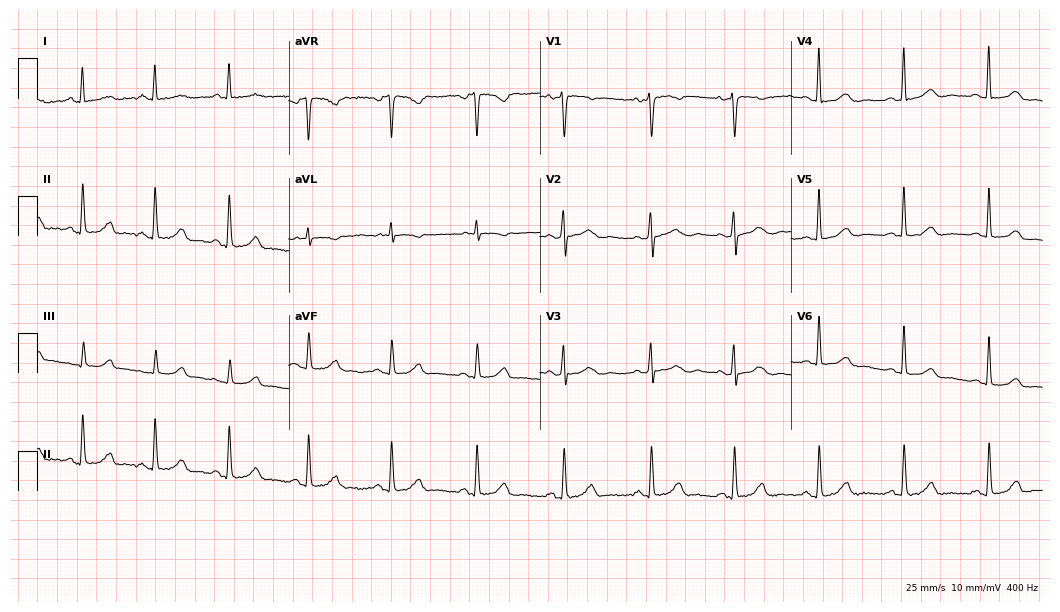
12-lead ECG (10.2-second recording at 400 Hz) from a female patient, 39 years old. Labelled as a normal ECG.